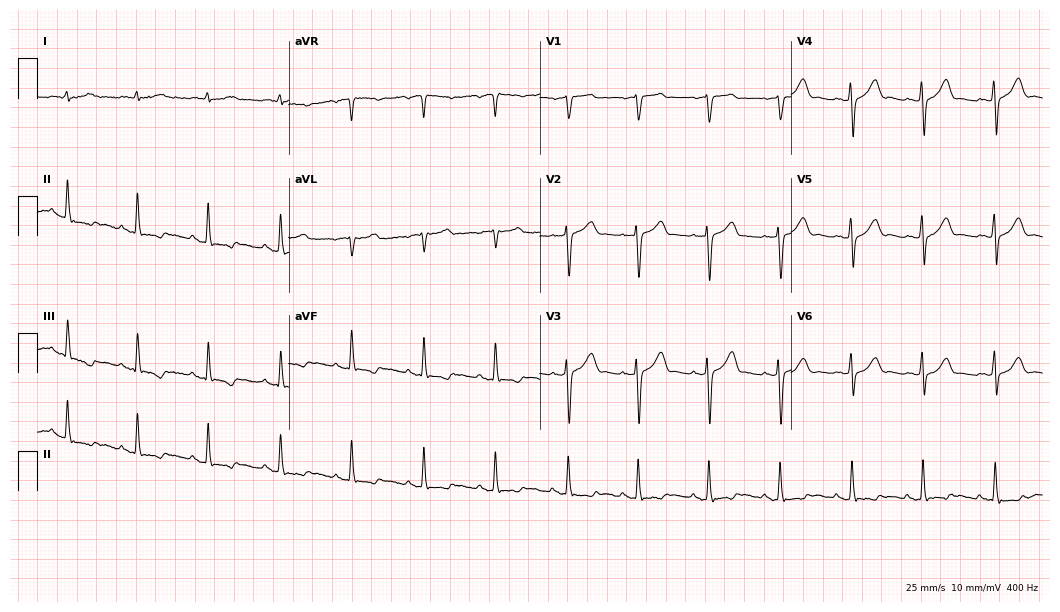
ECG — a male, 83 years old. Screened for six findings — first-degree AV block, right bundle branch block, left bundle branch block, sinus bradycardia, atrial fibrillation, sinus tachycardia — none is recorded.